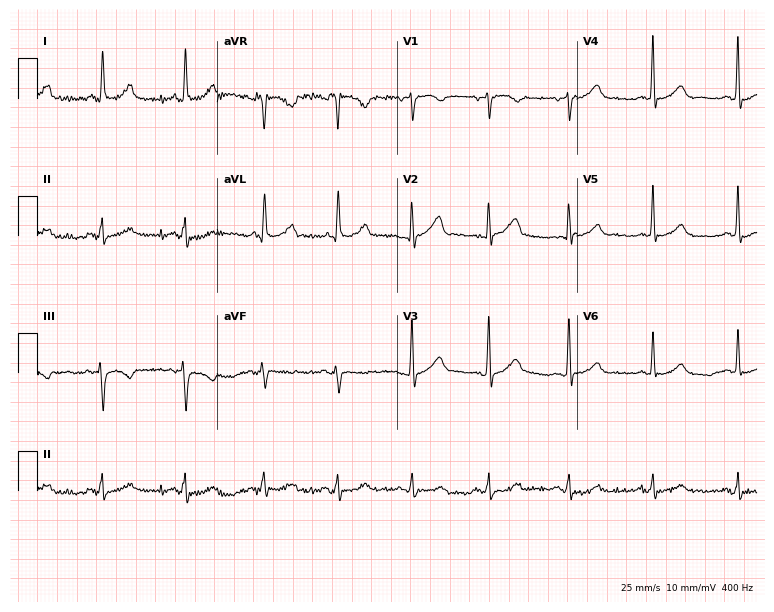
Resting 12-lead electrocardiogram. Patient: a female, 62 years old. Read as a normal ECG.